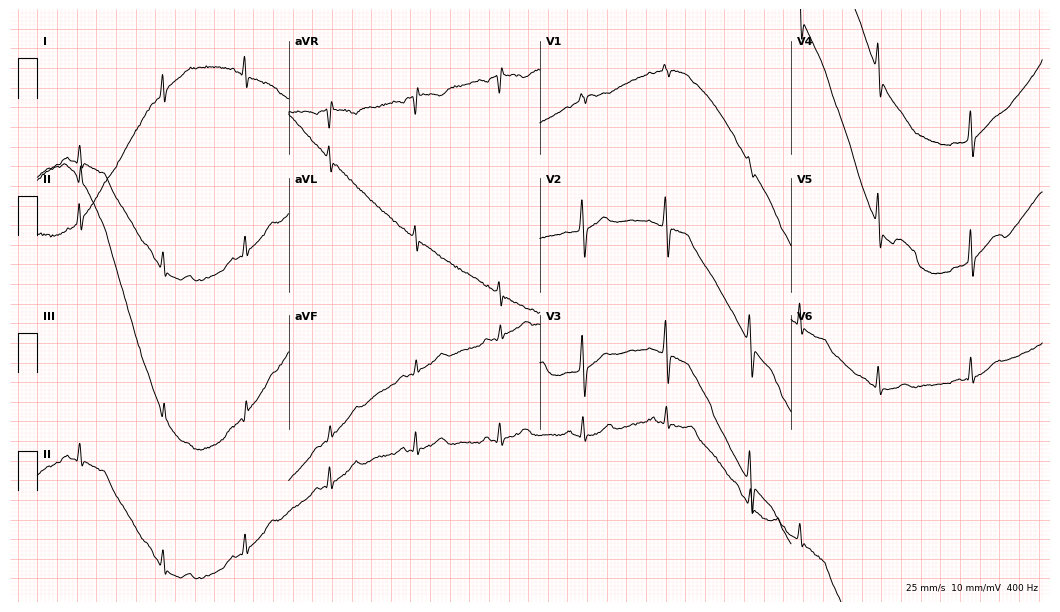
Electrocardiogram, a woman, 70 years old. Of the six screened findings (first-degree AV block, right bundle branch block (RBBB), left bundle branch block (LBBB), sinus bradycardia, atrial fibrillation (AF), sinus tachycardia), none is recorded.